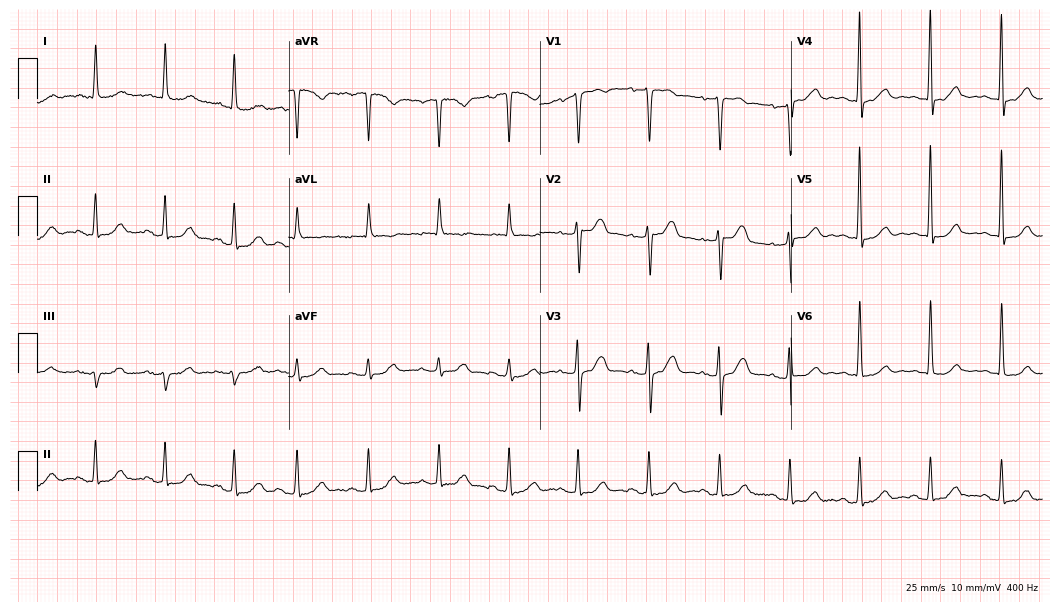
ECG — a woman, 65 years old. Labelled as a normal ECG.